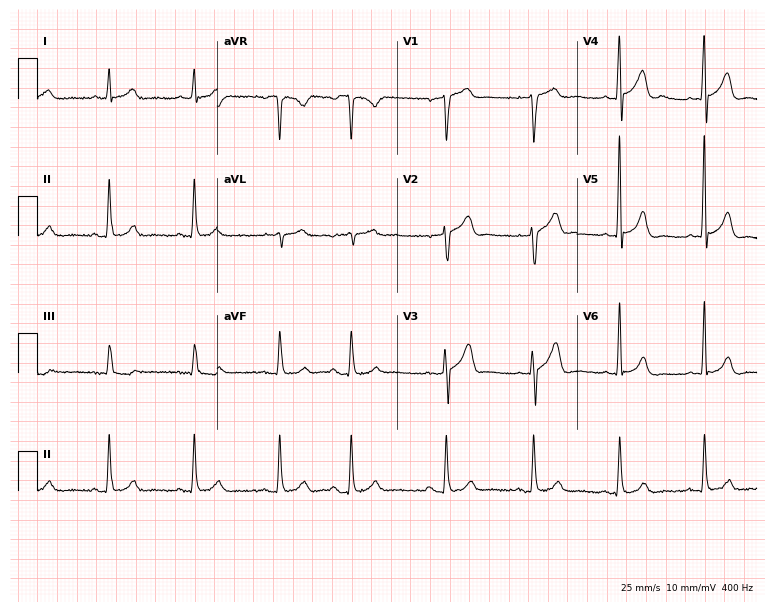
ECG — a male patient, 82 years old. Screened for six findings — first-degree AV block, right bundle branch block, left bundle branch block, sinus bradycardia, atrial fibrillation, sinus tachycardia — none is recorded. Other findings, if any, are not listed.